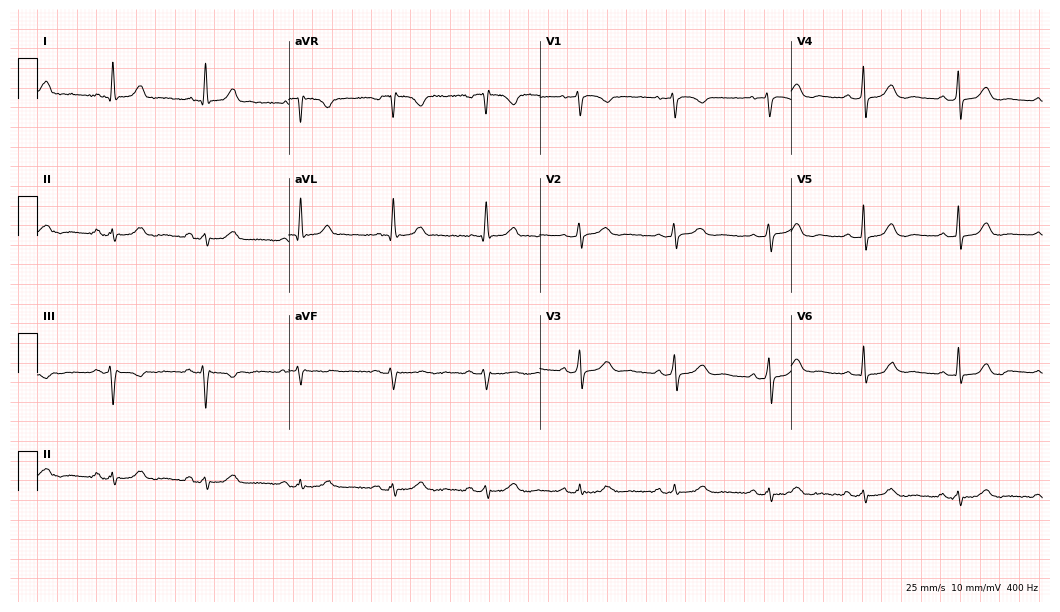
12-lead ECG from a 57-year-old woman (10.2-second recording at 400 Hz). Recorded interpretation: within normal limits.